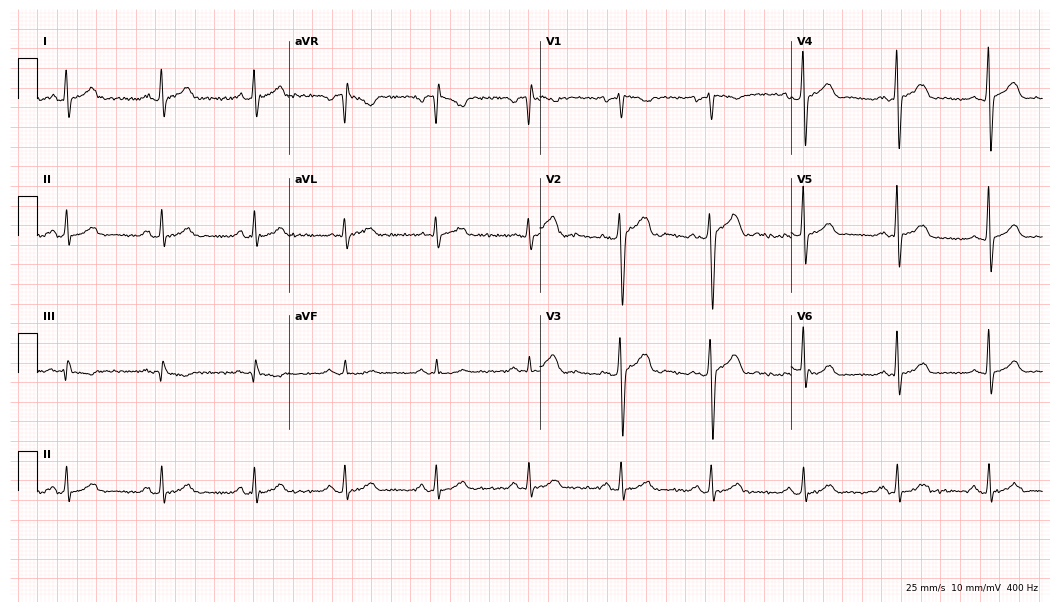
12-lead ECG from a 47-year-old male (10.2-second recording at 400 Hz). No first-degree AV block, right bundle branch block (RBBB), left bundle branch block (LBBB), sinus bradycardia, atrial fibrillation (AF) or sinus tachycardia recorded for this tracing.